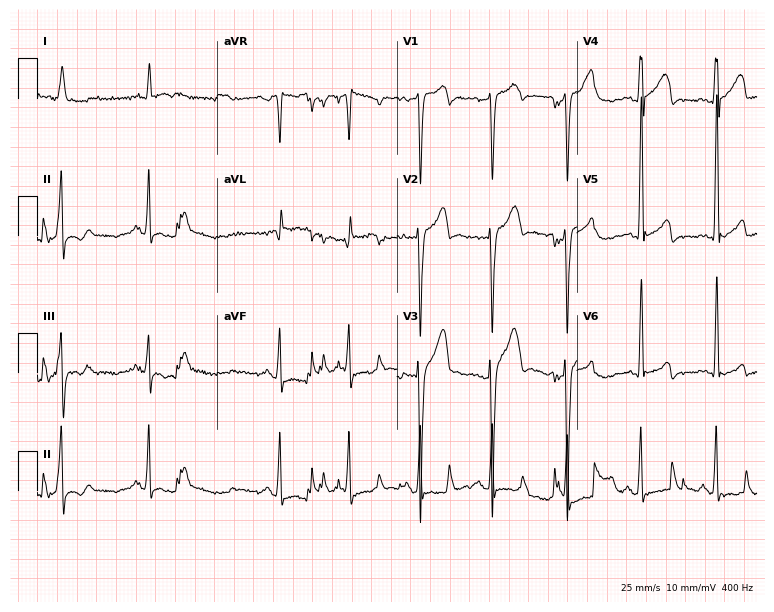
Electrocardiogram, a male, 50 years old. Of the six screened findings (first-degree AV block, right bundle branch block (RBBB), left bundle branch block (LBBB), sinus bradycardia, atrial fibrillation (AF), sinus tachycardia), none is recorded. Other findings, if any, are not listed.